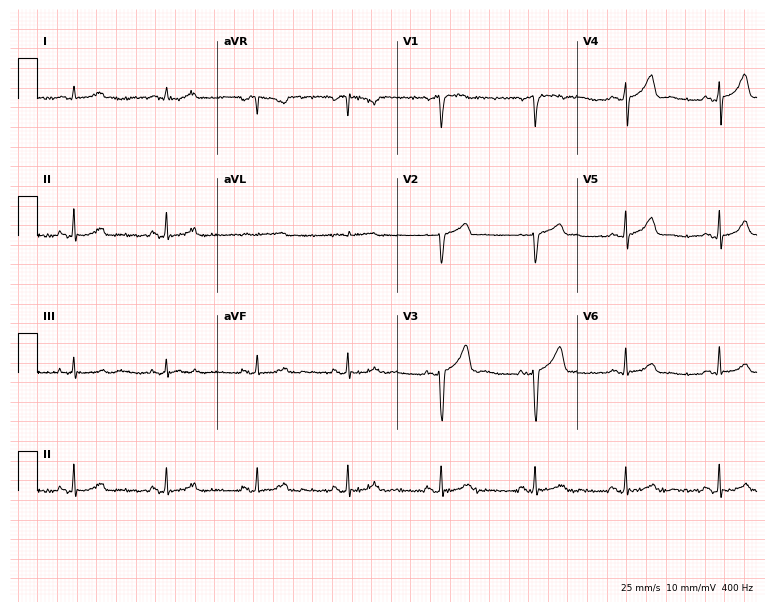
ECG — a male, 46 years old. Screened for six findings — first-degree AV block, right bundle branch block, left bundle branch block, sinus bradycardia, atrial fibrillation, sinus tachycardia — none is recorded.